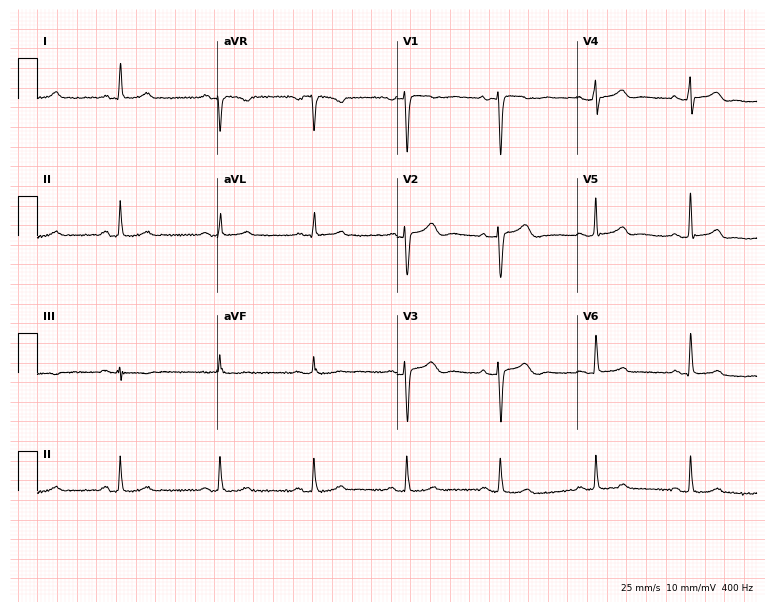
Resting 12-lead electrocardiogram. Patient: a female, 34 years old. Read as a normal ECG.